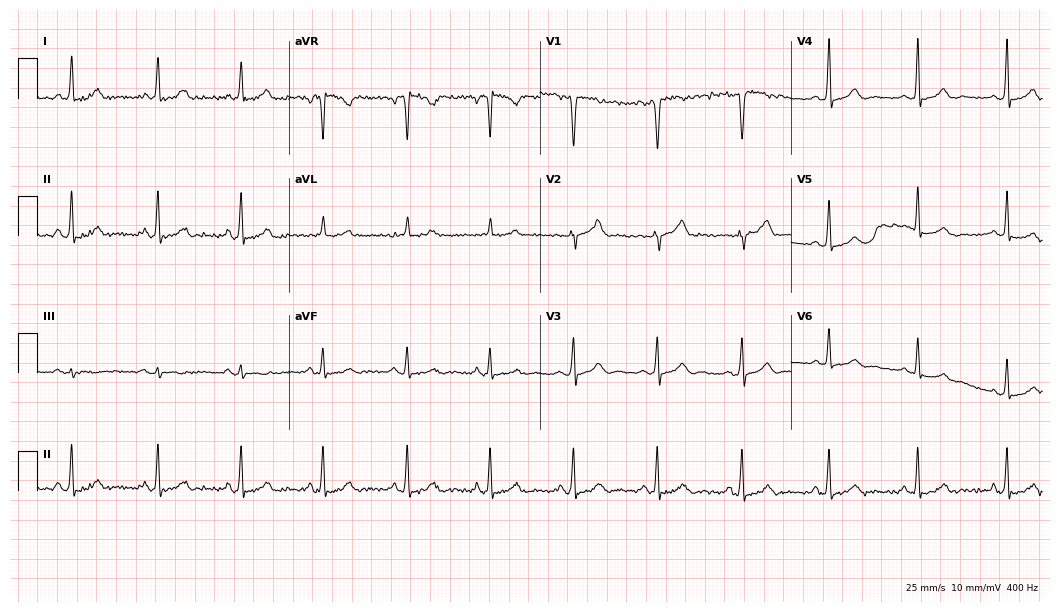
Electrocardiogram, a female patient, 61 years old. Overall reading on record: normal ECG.